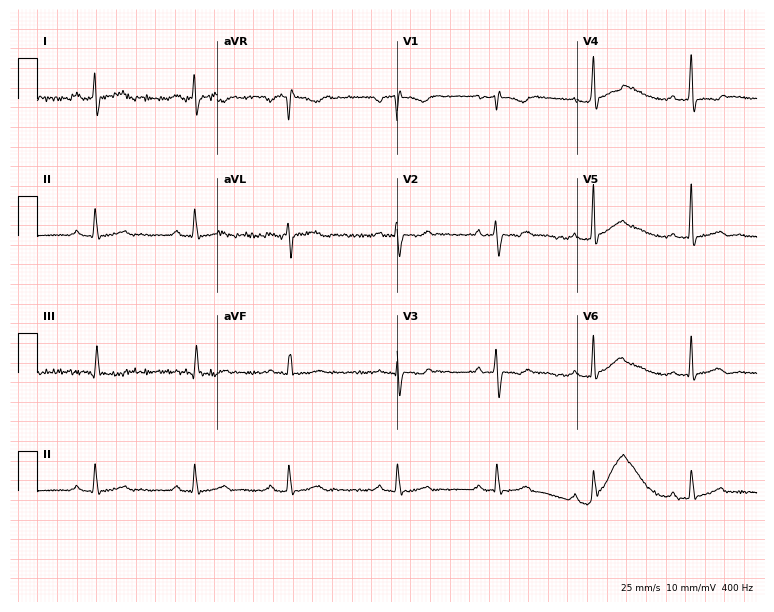
ECG — a woman, 29 years old. Screened for six findings — first-degree AV block, right bundle branch block, left bundle branch block, sinus bradycardia, atrial fibrillation, sinus tachycardia — none is recorded. Findings outside these six are not listed.